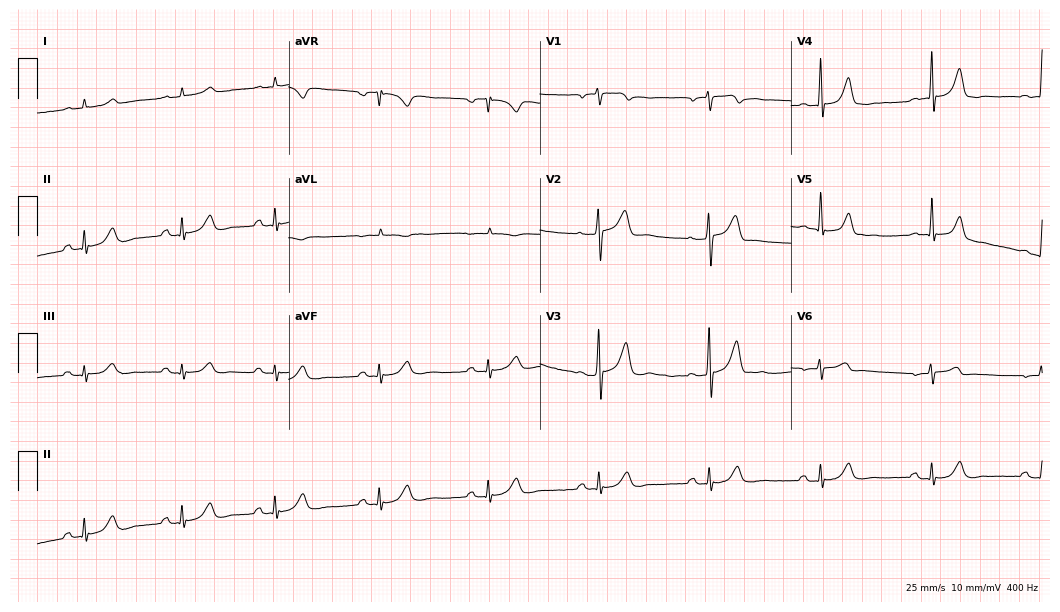
12-lead ECG from a man, 61 years old. Labelled as a normal ECG.